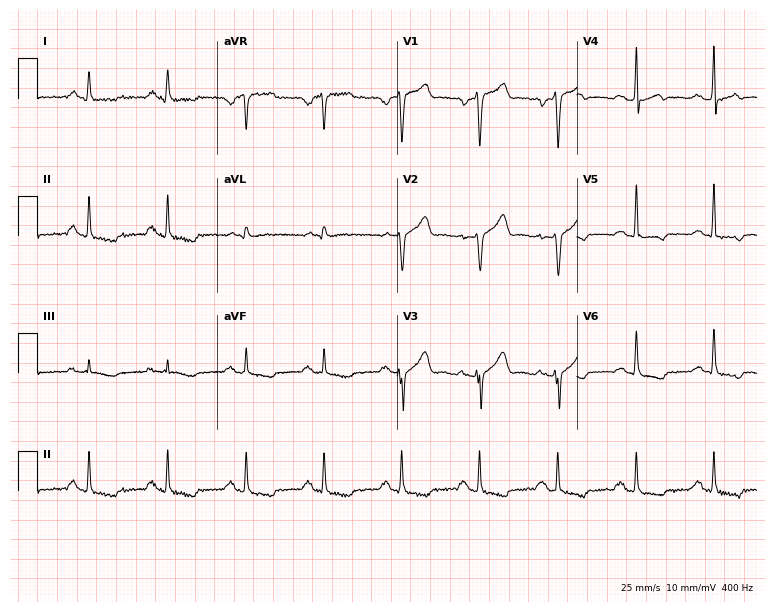
12-lead ECG from a male patient, 50 years old. Screened for six findings — first-degree AV block, right bundle branch block (RBBB), left bundle branch block (LBBB), sinus bradycardia, atrial fibrillation (AF), sinus tachycardia — none is recorded.